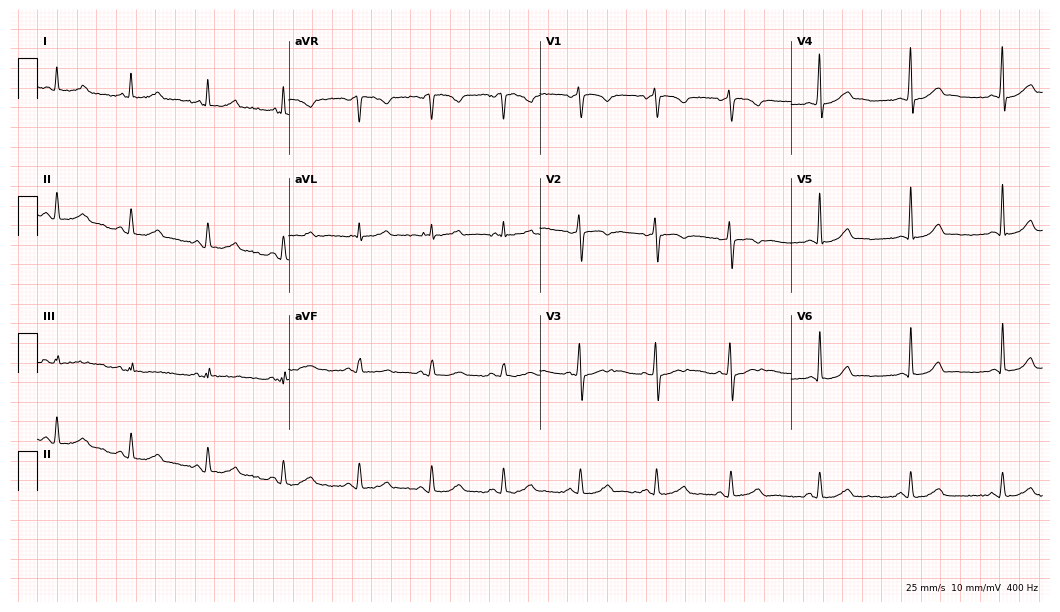
Standard 12-lead ECG recorded from a female patient, 41 years old. Read as a normal ECG.